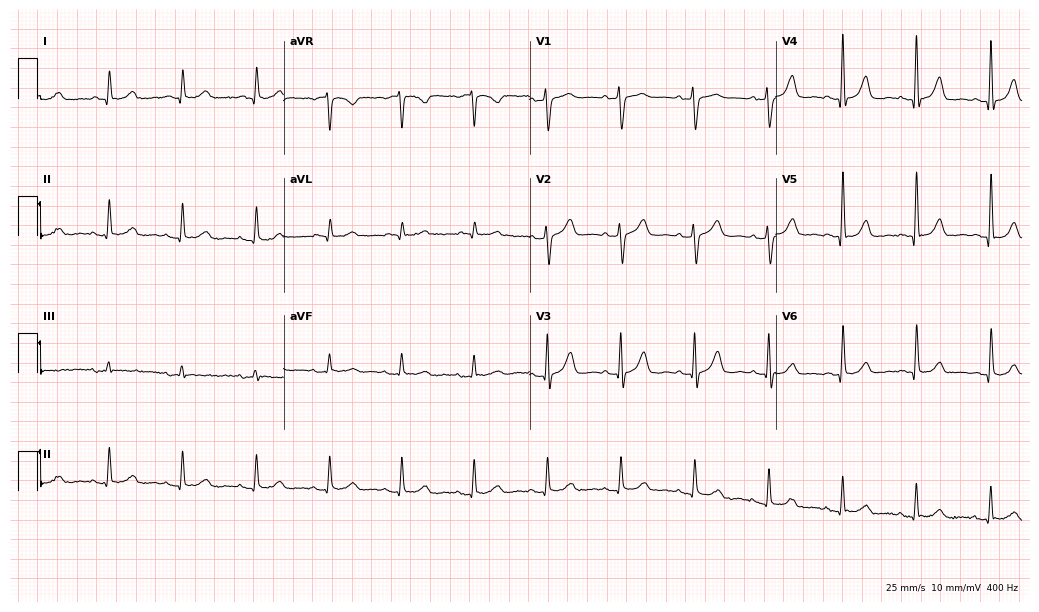
ECG (10-second recording at 400 Hz) — a male, 68 years old. Labelled as a normal ECG.